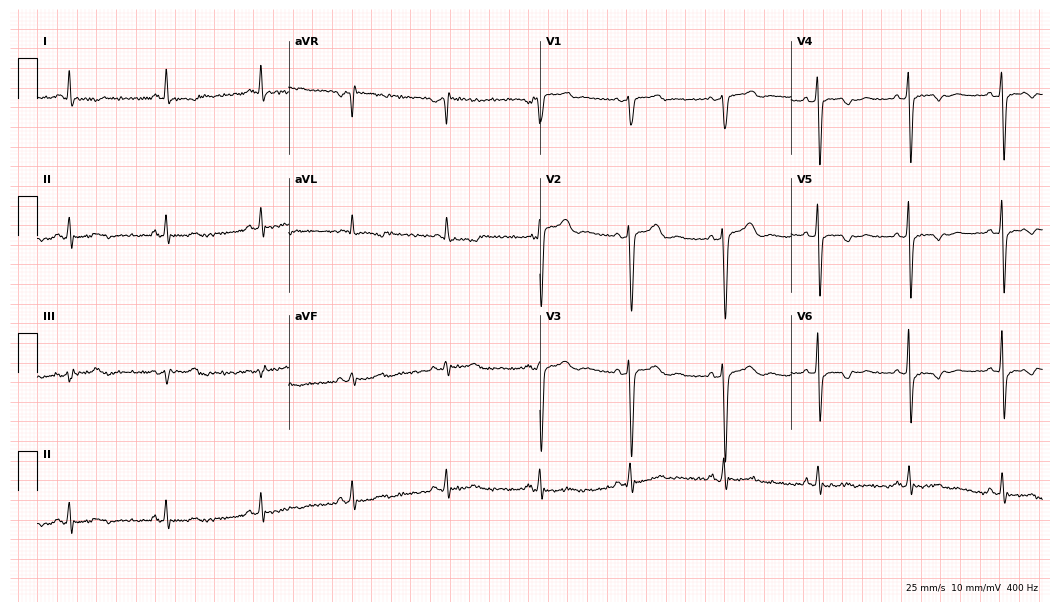
Electrocardiogram, a woman, 54 years old. Of the six screened findings (first-degree AV block, right bundle branch block, left bundle branch block, sinus bradycardia, atrial fibrillation, sinus tachycardia), none is recorded. Findings outside these six are not listed.